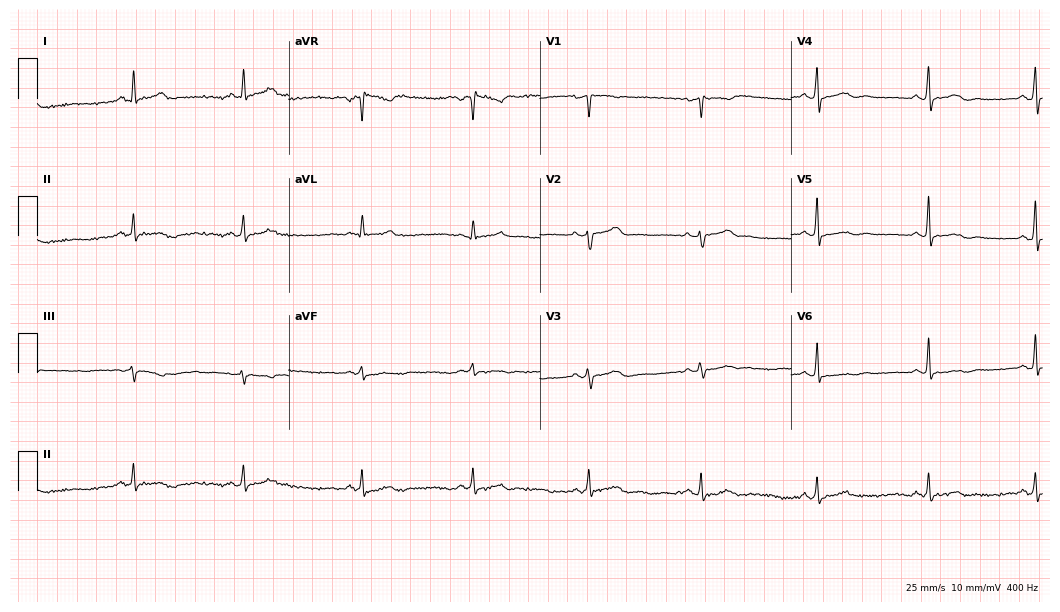
Electrocardiogram (10.2-second recording at 400 Hz), a woman, 53 years old. Of the six screened findings (first-degree AV block, right bundle branch block (RBBB), left bundle branch block (LBBB), sinus bradycardia, atrial fibrillation (AF), sinus tachycardia), none is recorded. Findings outside these six are not listed.